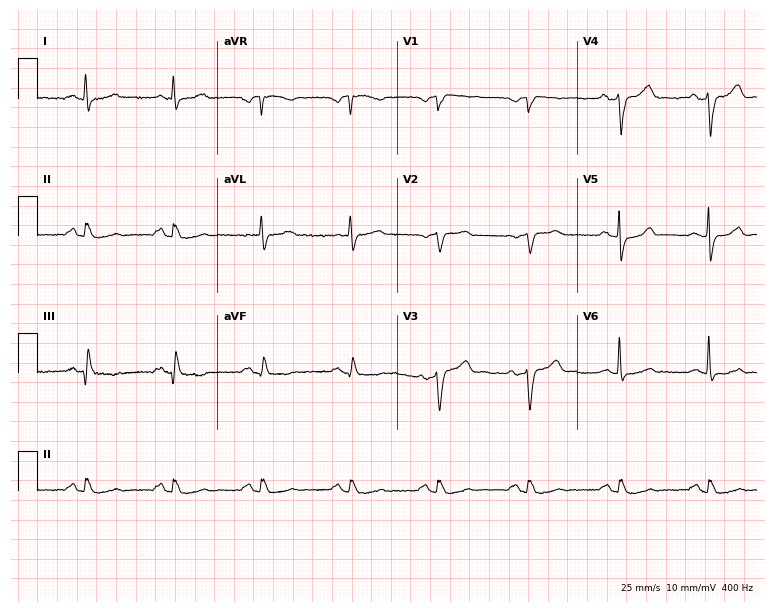
12-lead ECG from a male, 66 years old. No first-degree AV block, right bundle branch block, left bundle branch block, sinus bradycardia, atrial fibrillation or sinus tachycardia recorded for this tracing.